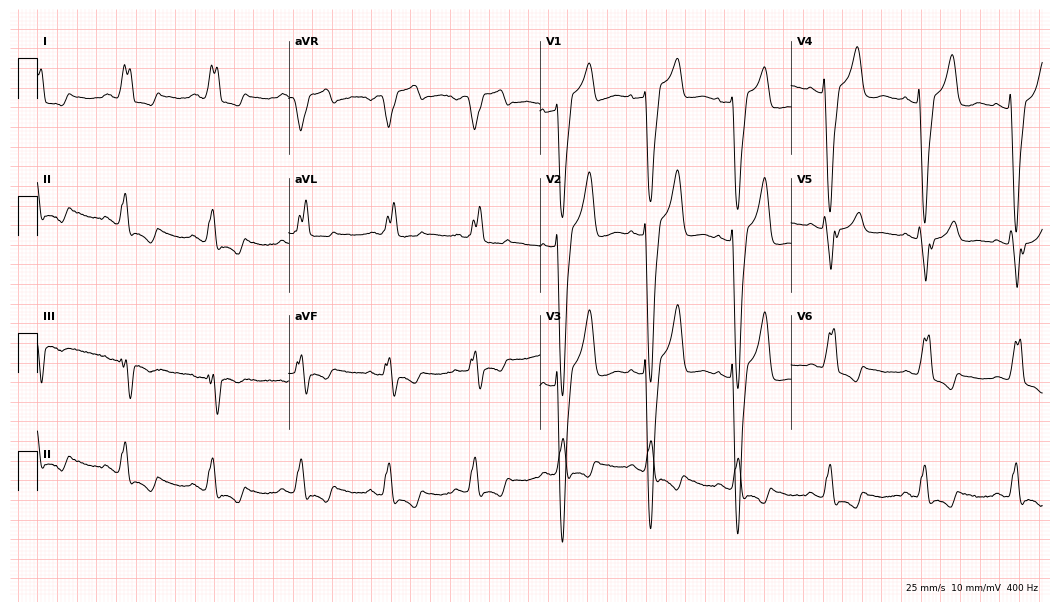
ECG — a woman, 61 years old. Findings include left bundle branch block.